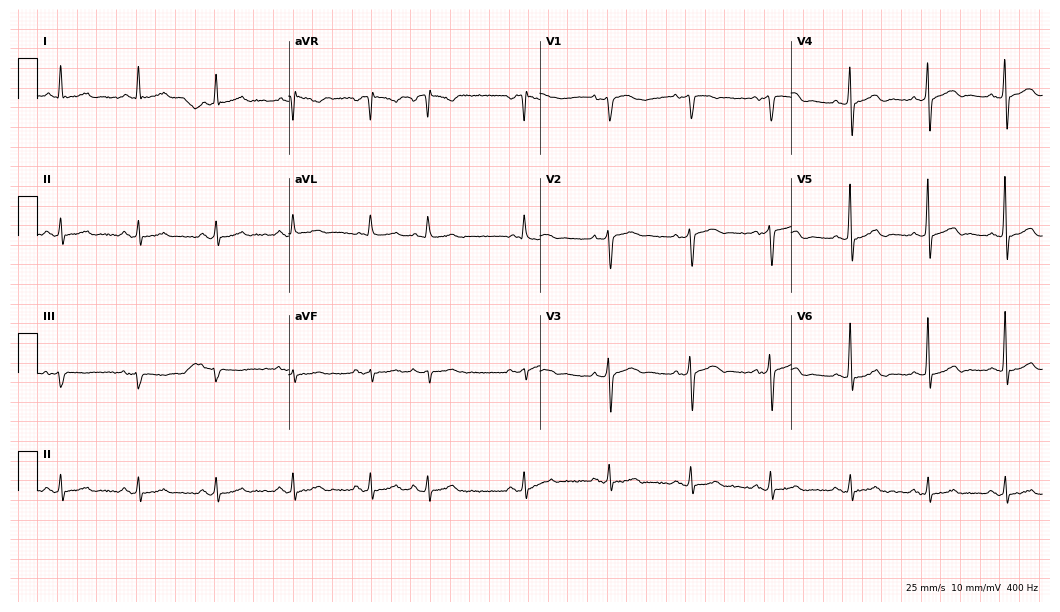
Resting 12-lead electrocardiogram (10.2-second recording at 400 Hz). Patient: a 78-year-old male. None of these six findings is recorded: first-degree AV block, right bundle branch block, left bundle branch block, sinus bradycardia, atrial fibrillation, sinus tachycardia. Other findings, if any, are not listed.